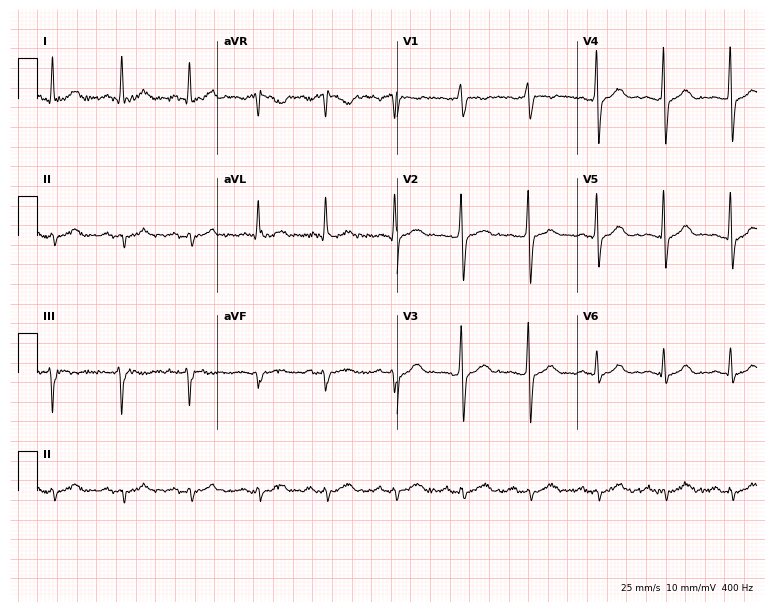
12-lead ECG from a man, 36 years old. No first-degree AV block, right bundle branch block, left bundle branch block, sinus bradycardia, atrial fibrillation or sinus tachycardia recorded for this tracing. Only these six findings were labelled.